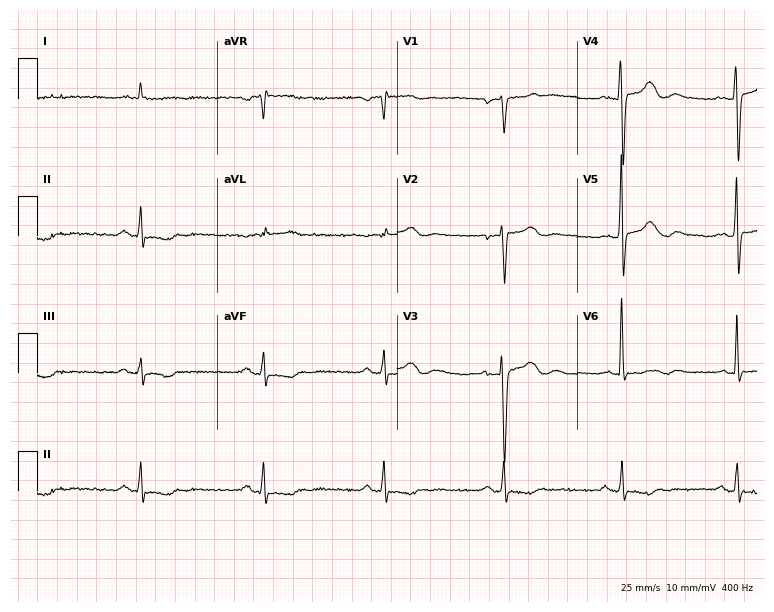
Standard 12-lead ECG recorded from a man, 74 years old (7.3-second recording at 400 Hz). The tracing shows right bundle branch block.